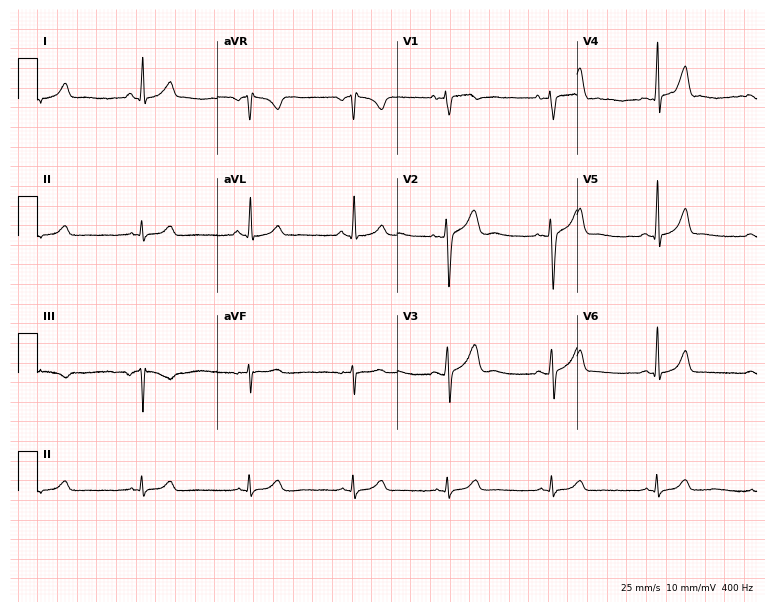
Resting 12-lead electrocardiogram (7.3-second recording at 400 Hz). Patient: a female, 17 years old. Read as a normal ECG.